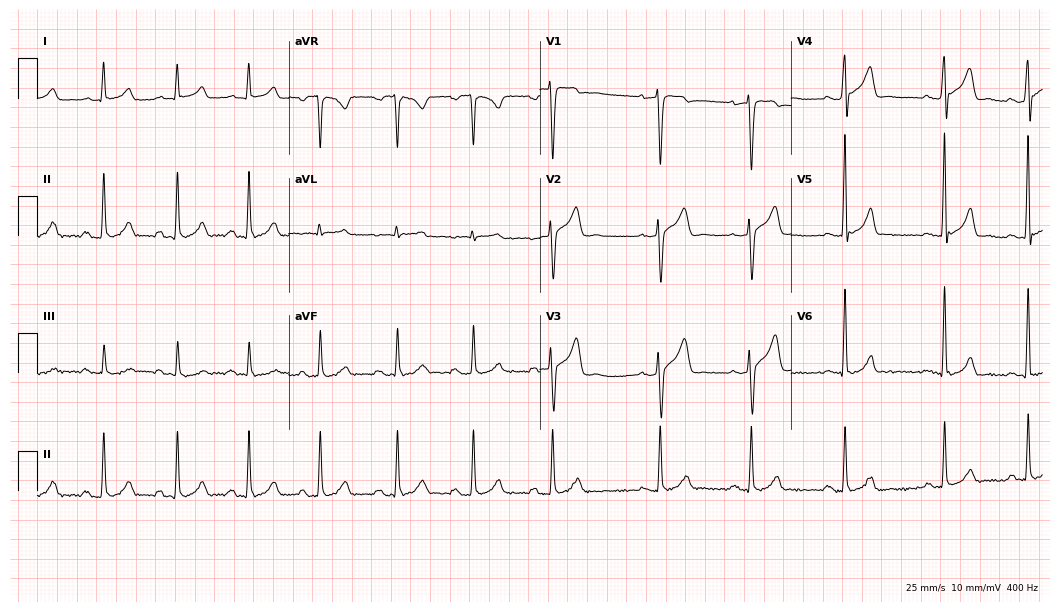
ECG — a male patient, 35 years old. Labelled as a normal ECG.